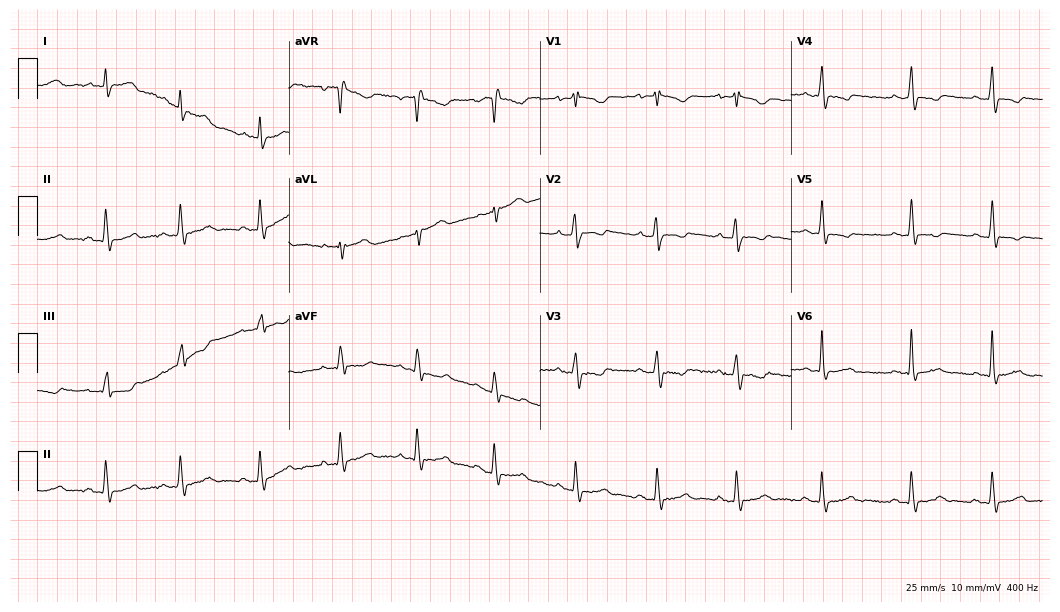
12-lead ECG from a 20-year-old female (10.2-second recording at 400 Hz). No first-degree AV block, right bundle branch block, left bundle branch block, sinus bradycardia, atrial fibrillation or sinus tachycardia recorded for this tracing. Findings outside these six are not listed.